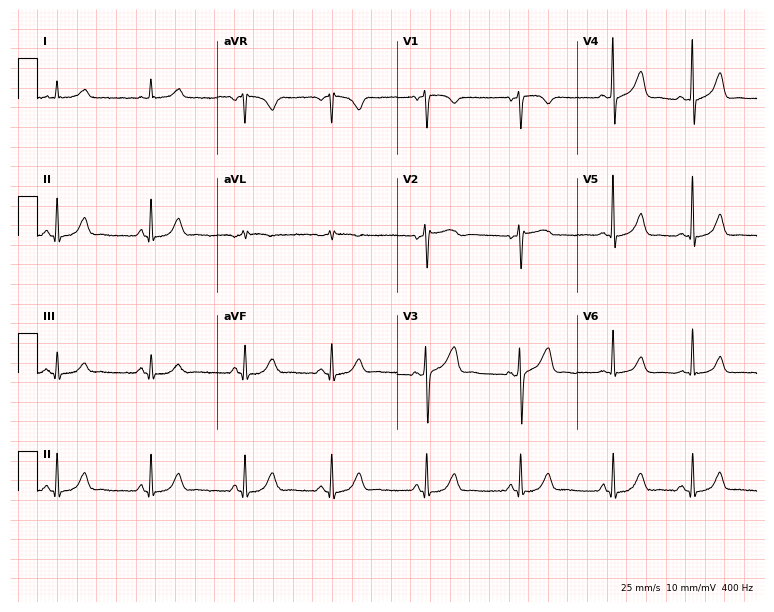
Standard 12-lead ECG recorded from a 70-year-old male patient (7.3-second recording at 400 Hz). Read as a normal ECG.